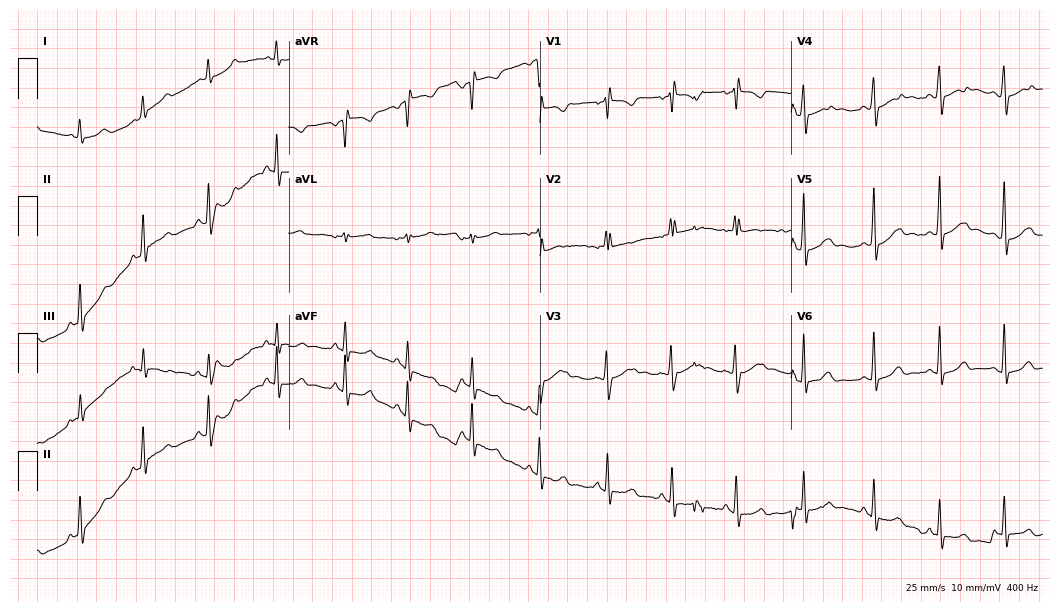
12-lead ECG from a female, 17 years old (10.2-second recording at 400 Hz). Recorded interpretation: within normal limits.